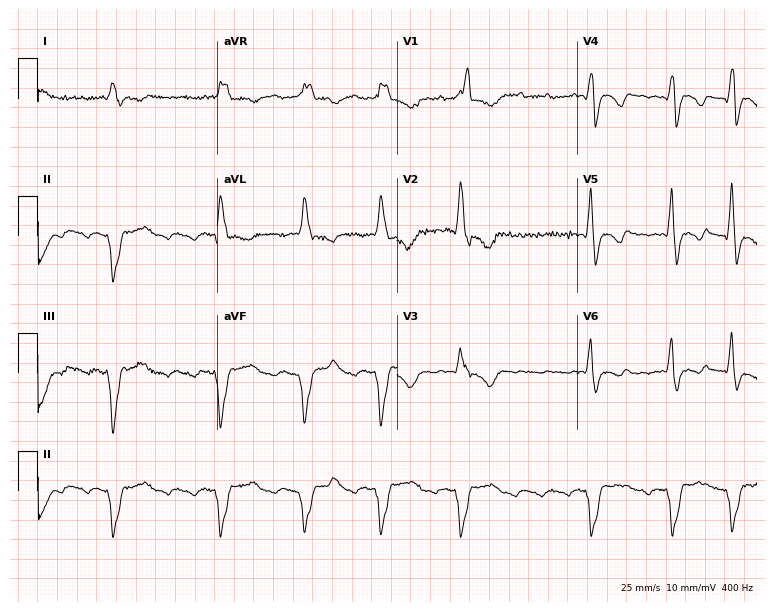
ECG (7.3-second recording at 400 Hz) — a 50-year-old man. Findings include right bundle branch block.